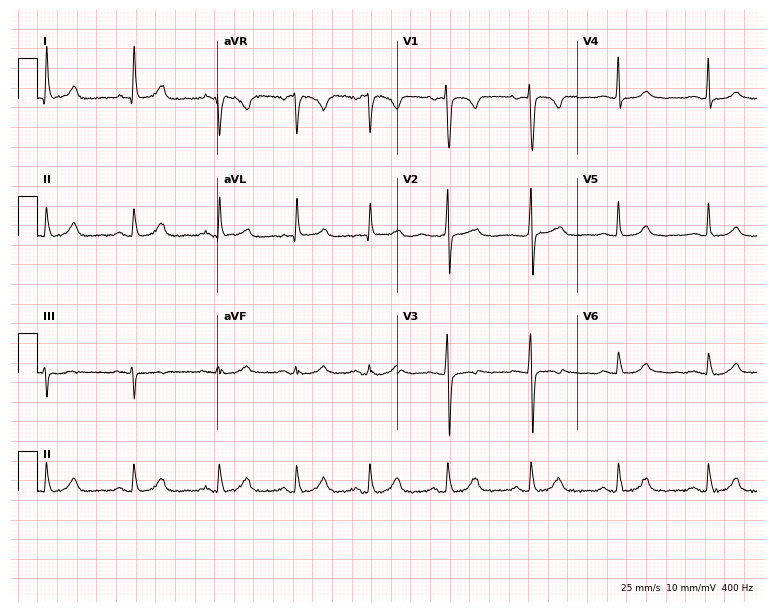
Electrocardiogram, a woman, 56 years old. Overall reading on record: normal ECG.